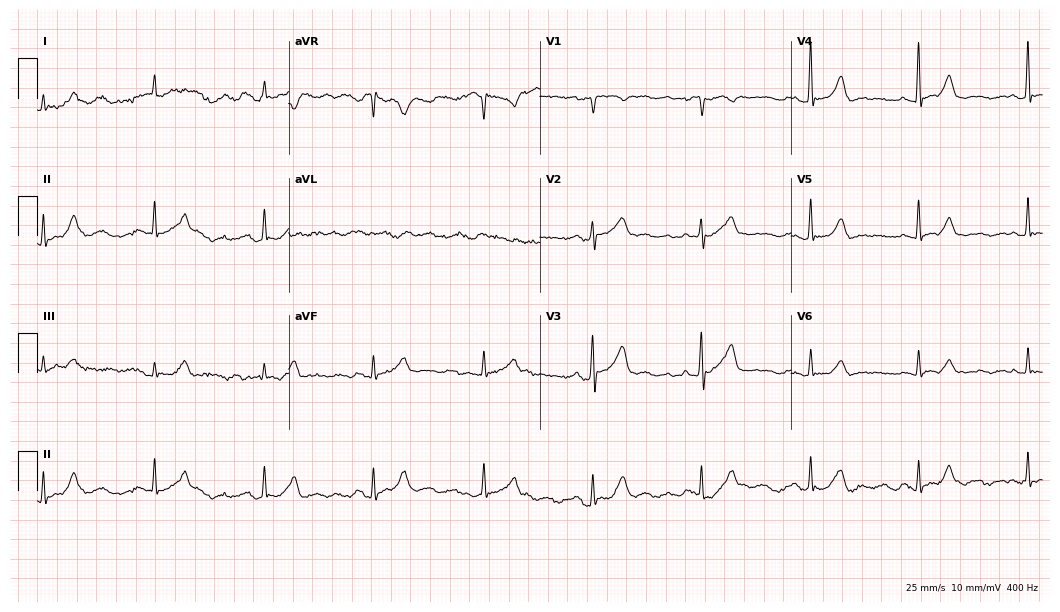
Electrocardiogram, a man, 74 years old. Of the six screened findings (first-degree AV block, right bundle branch block (RBBB), left bundle branch block (LBBB), sinus bradycardia, atrial fibrillation (AF), sinus tachycardia), none is recorded. Only these six findings were labelled.